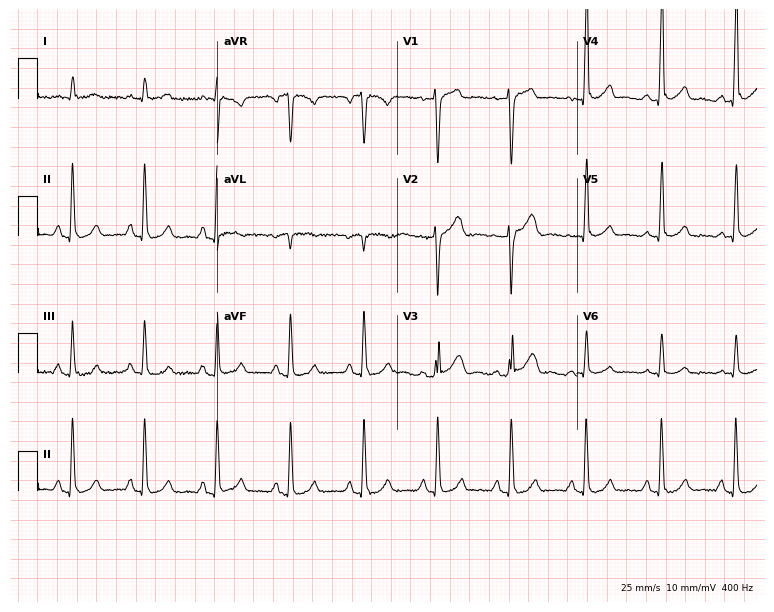
12-lead ECG from a 55-year-old man (7.3-second recording at 400 Hz). No first-degree AV block, right bundle branch block (RBBB), left bundle branch block (LBBB), sinus bradycardia, atrial fibrillation (AF) or sinus tachycardia recorded for this tracing.